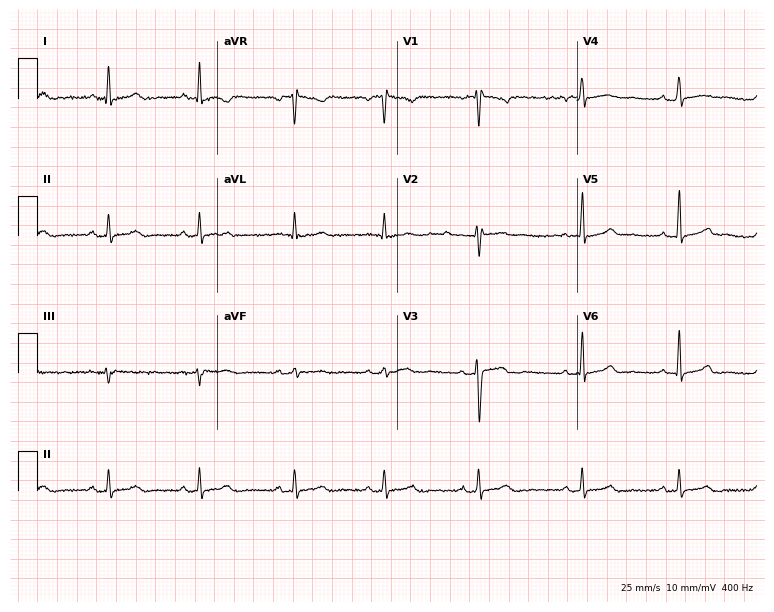
Electrocardiogram (7.3-second recording at 400 Hz), a 31-year-old female. Of the six screened findings (first-degree AV block, right bundle branch block, left bundle branch block, sinus bradycardia, atrial fibrillation, sinus tachycardia), none is recorded.